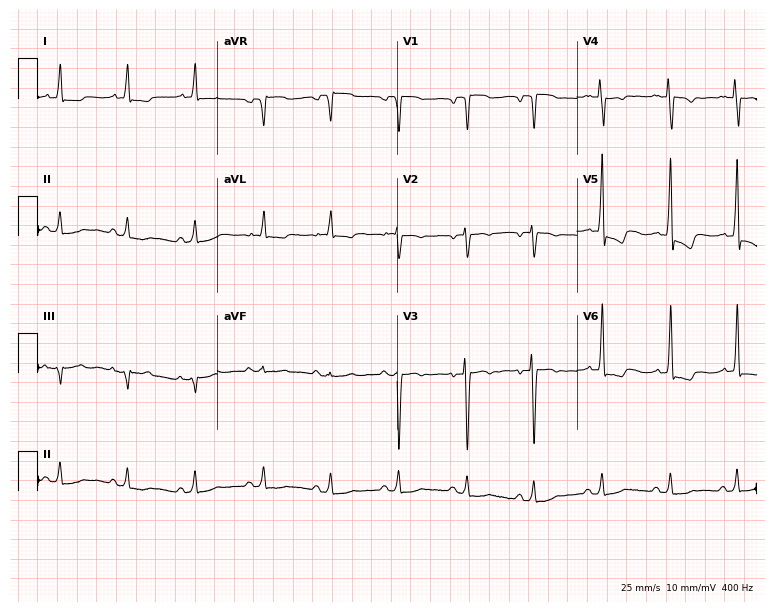
12-lead ECG from a male patient, 56 years old. Screened for six findings — first-degree AV block, right bundle branch block, left bundle branch block, sinus bradycardia, atrial fibrillation, sinus tachycardia — none is recorded. Only these six findings were labelled.